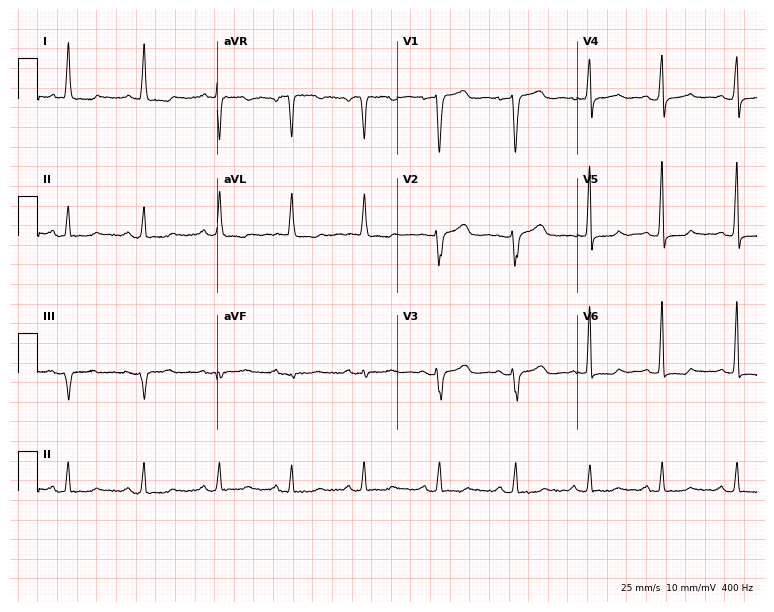
Standard 12-lead ECG recorded from a 76-year-old female patient (7.3-second recording at 400 Hz). None of these six findings is recorded: first-degree AV block, right bundle branch block (RBBB), left bundle branch block (LBBB), sinus bradycardia, atrial fibrillation (AF), sinus tachycardia.